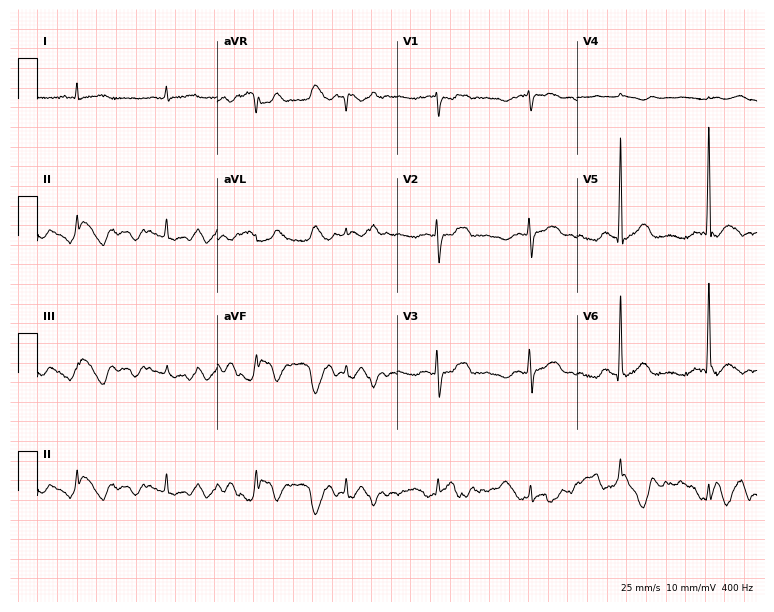
Electrocardiogram (7.3-second recording at 400 Hz), a 71-year-old female. Of the six screened findings (first-degree AV block, right bundle branch block (RBBB), left bundle branch block (LBBB), sinus bradycardia, atrial fibrillation (AF), sinus tachycardia), none is recorded. Other findings, if any, are not listed.